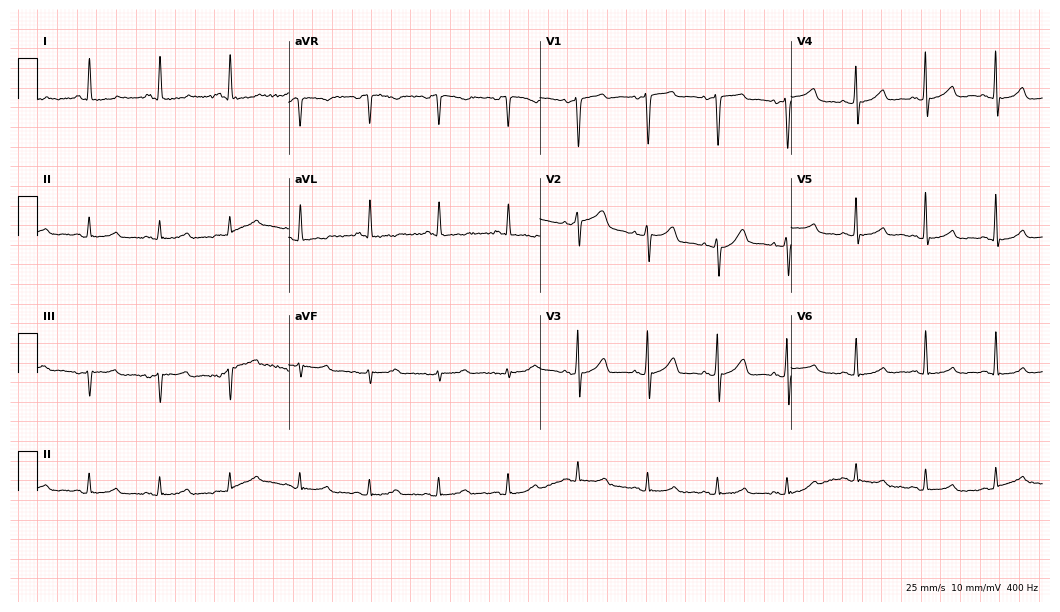
12-lead ECG from a 73-year-old female. Screened for six findings — first-degree AV block, right bundle branch block, left bundle branch block, sinus bradycardia, atrial fibrillation, sinus tachycardia — none is recorded.